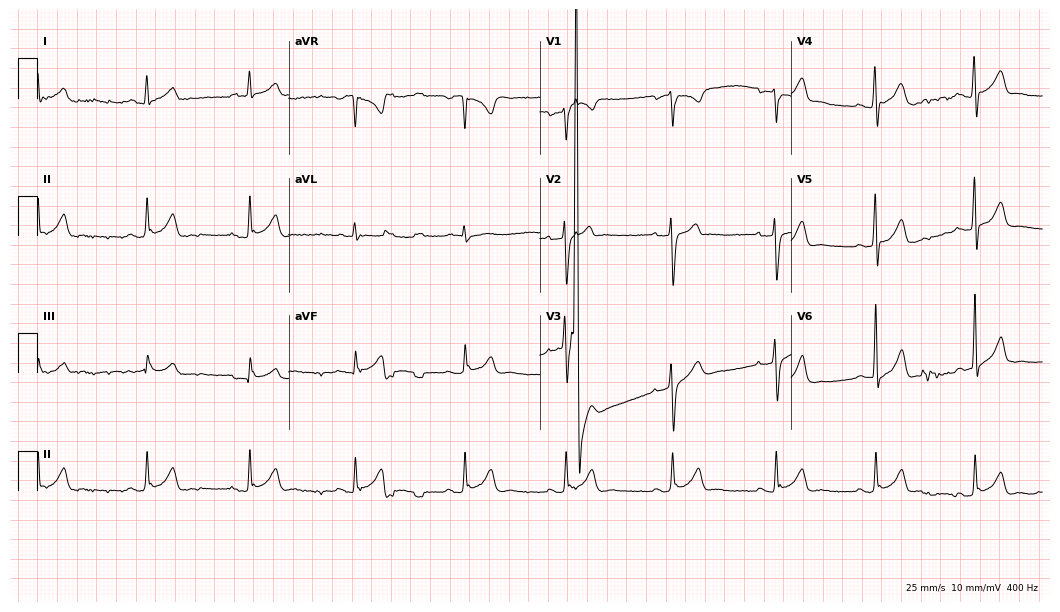
12-lead ECG from a male patient, 32 years old. Screened for six findings — first-degree AV block, right bundle branch block, left bundle branch block, sinus bradycardia, atrial fibrillation, sinus tachycardia — none is recorded.